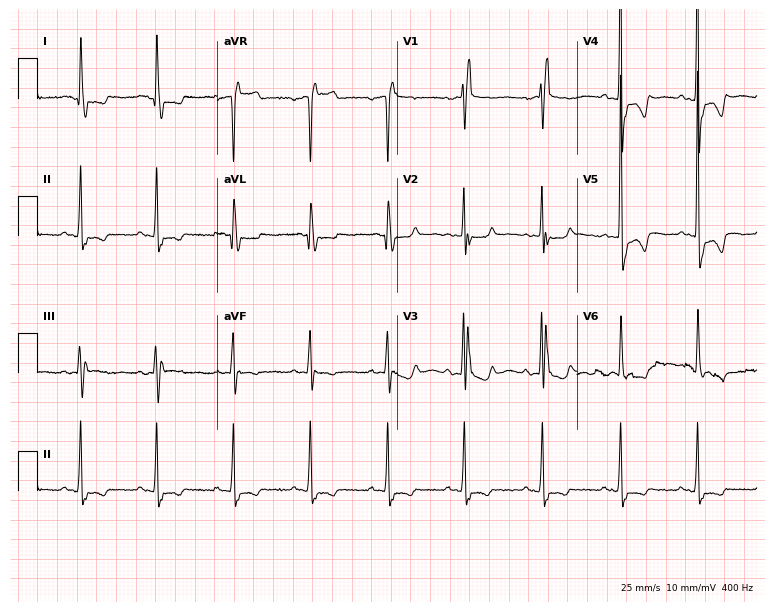
12-lead ECG from a 79-year-old woman. No first-degree AV block, right bundle branch block, left bundle branch block, sinus bradycardia, atrial fibrillation or sinus tachycardia recorded for this tracing. Other findings, if any, are not listed.